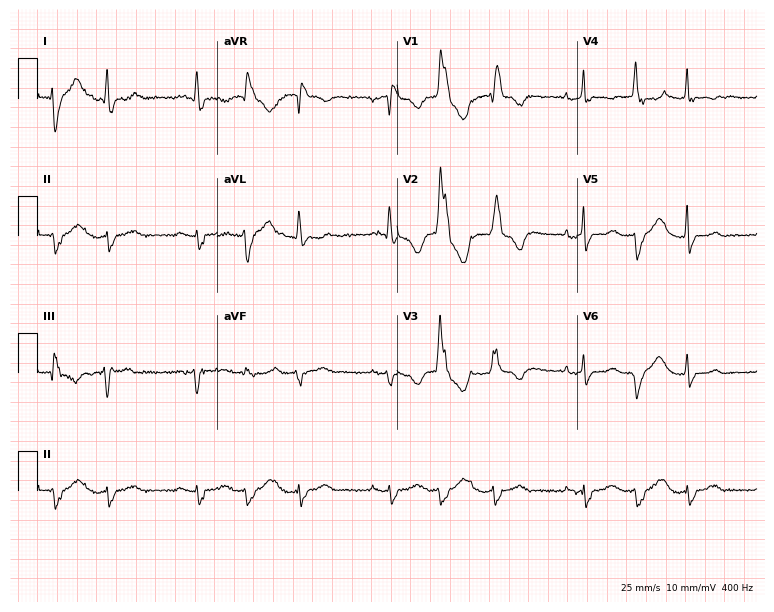
Resting 12-lead electrocardiogram. Patient: a woman, 63 years old. The tracing shows right bundle branch block (RBBB).